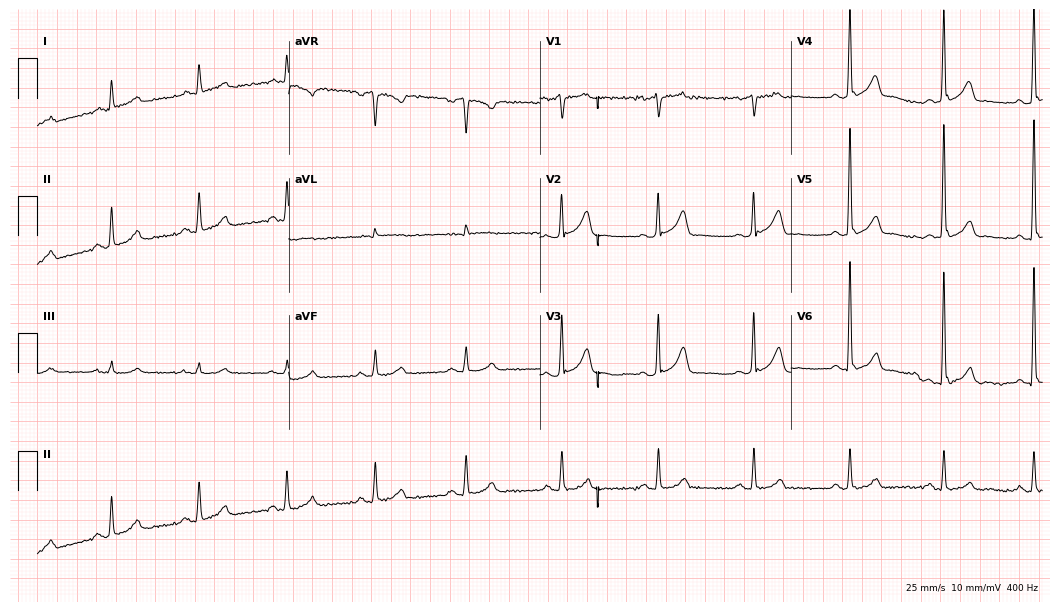
12-lead ECG from a male patient, 65 years old. No first-degree AV block, right bundle branch block (RBBB), left bundle branch block (LBBB), sinus bradycardia, atrial fibrillation (AF) or sinus tachycardia recorded for this tracing. Other findings, if any, are not listed.